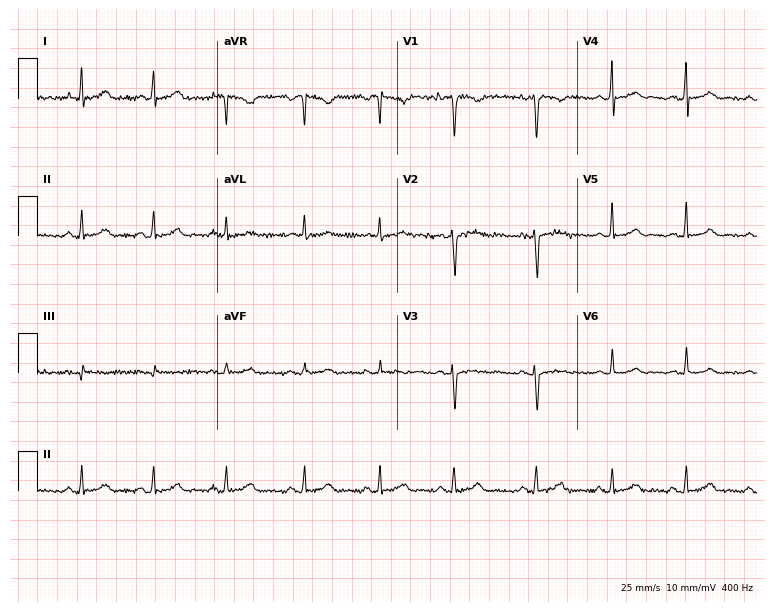
Resting 12-lead electrocardiogram (7.3-second recording at 400 Hz). Patient: a woman, 31 years old. None of these six findings is recorded: first-degree AV block, right bundle branch block, left bundle branch block, sinus bradycardia, atrial fibrillation, sinus tachycardia. Findings outside these six are not listed.